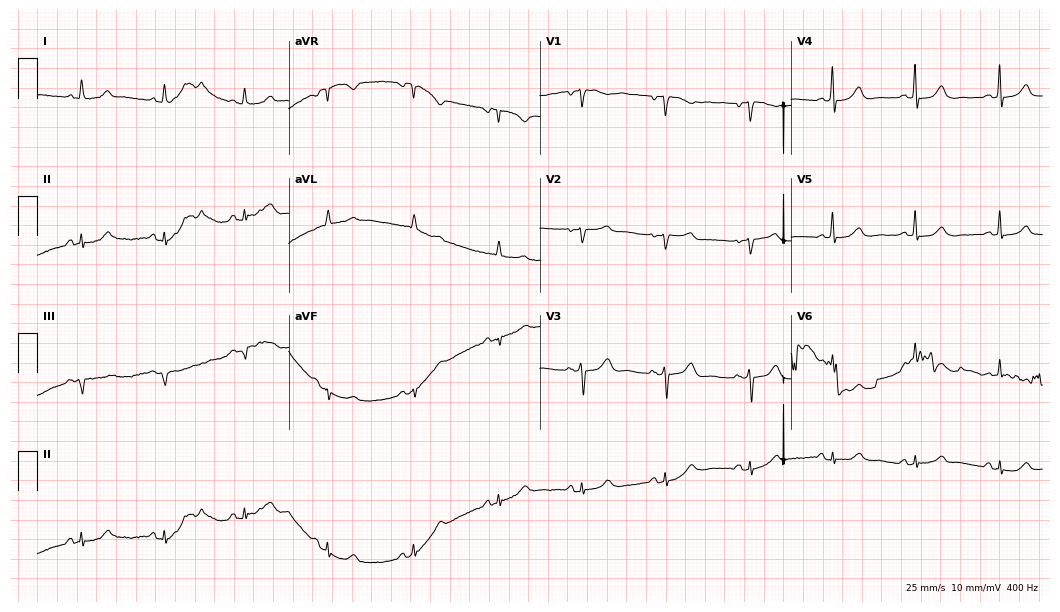
Electrocardiogram (10.2-second recording at 400 Hz), an 80-year-old female. Of the six screened findings (first-degree AV block, right bundle branch block, left bundle branch block, sinus bradycardia, atrial fibrillation, sinus tachycardia), none is recorded.